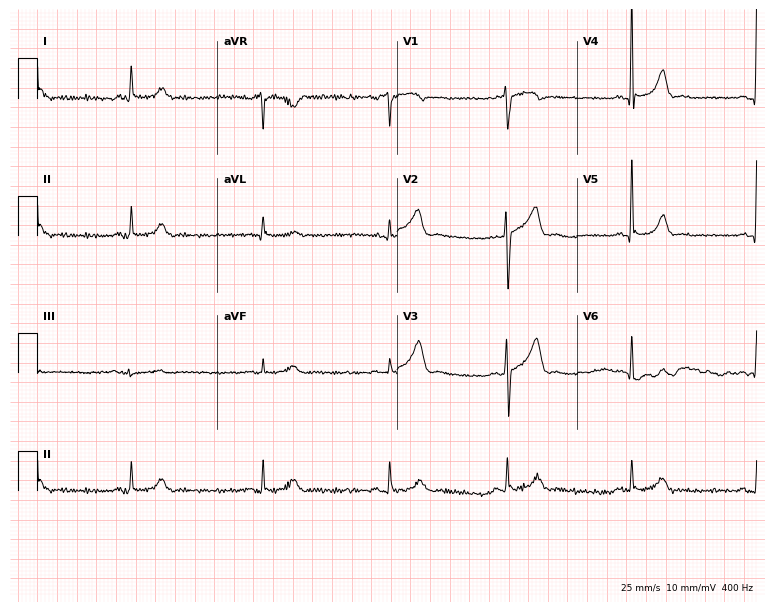
Electrocardiogram, a 60-year-old male patient. Interpretation includes sinus bradycardia (a sinus rate of 50 beats per minute or less).